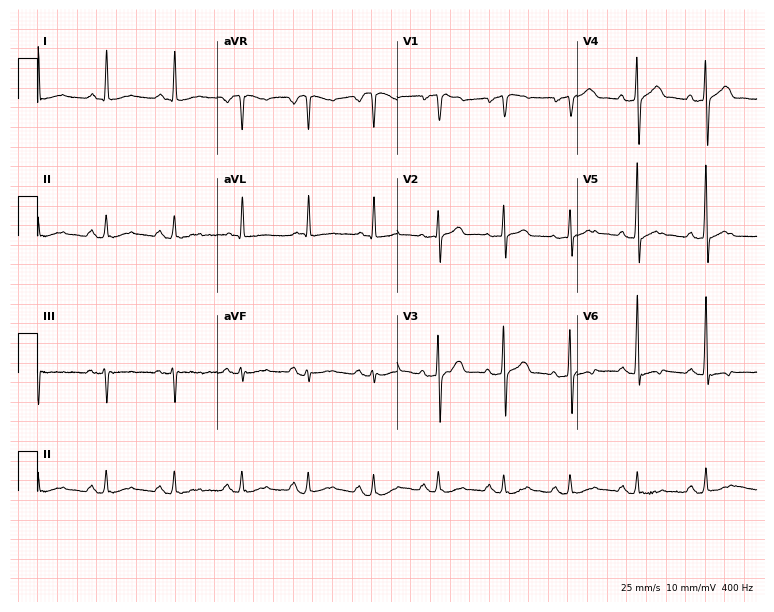
Standard 12-lead ECG recorded from a 66-year-old male (7.3-second recording at 400 Hz). None of these six findings is recorded: first-degree AV block, right bundle branch block, left bundle branch block, sinus bradycardia, atrial fibrillation, sinus tachycardia.